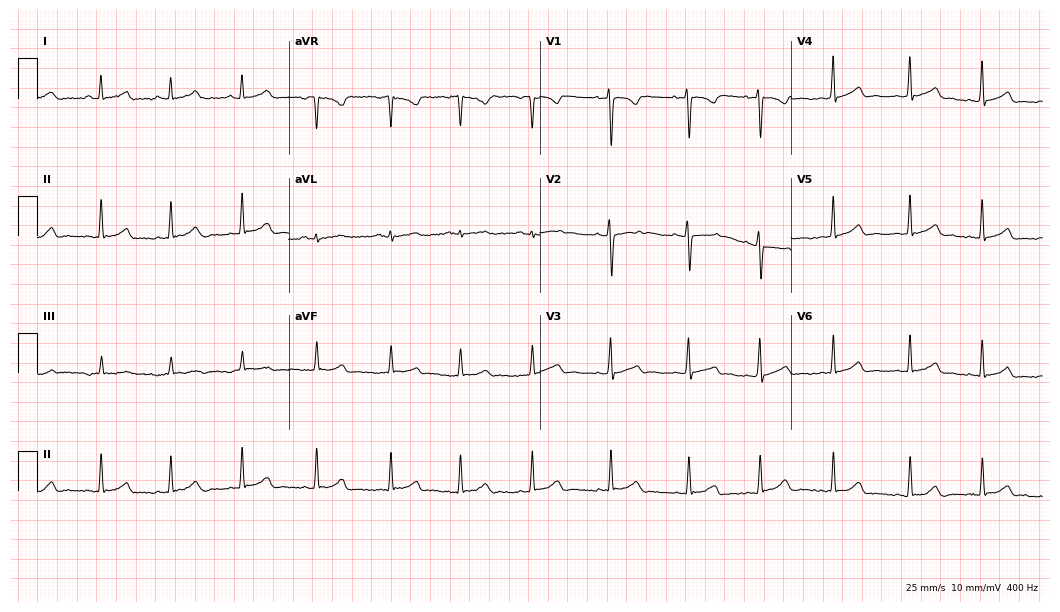
Electrocardiogram, a 24-year-old woman. Overall reading on record: normal ECG.